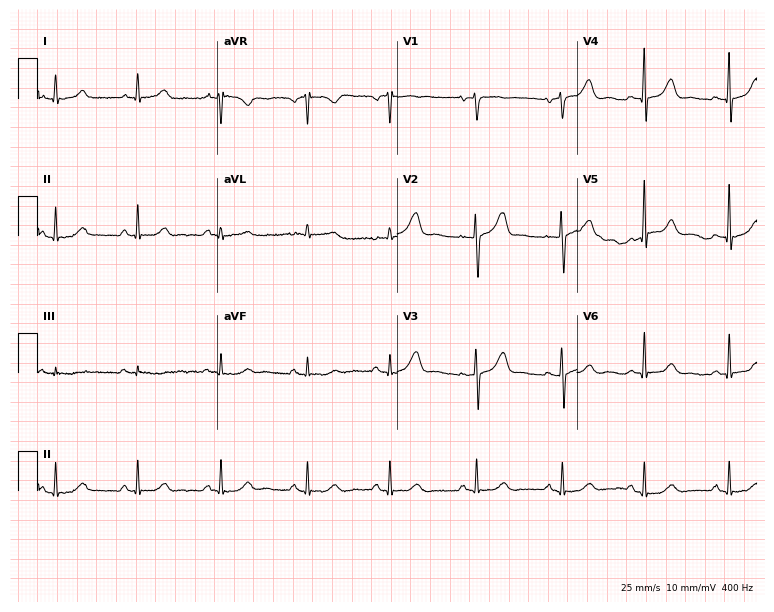
Standard 12-lead ECG recorded from an 81-year-old female (7.3-second recording at 400 Hz). None of these six findings is recorded: first-degree AV block, right bundle branch block, left bundle branch block, sinus bradycardia, atrial fibrillation, sinus tachycardia. Only these six findings were labelled.